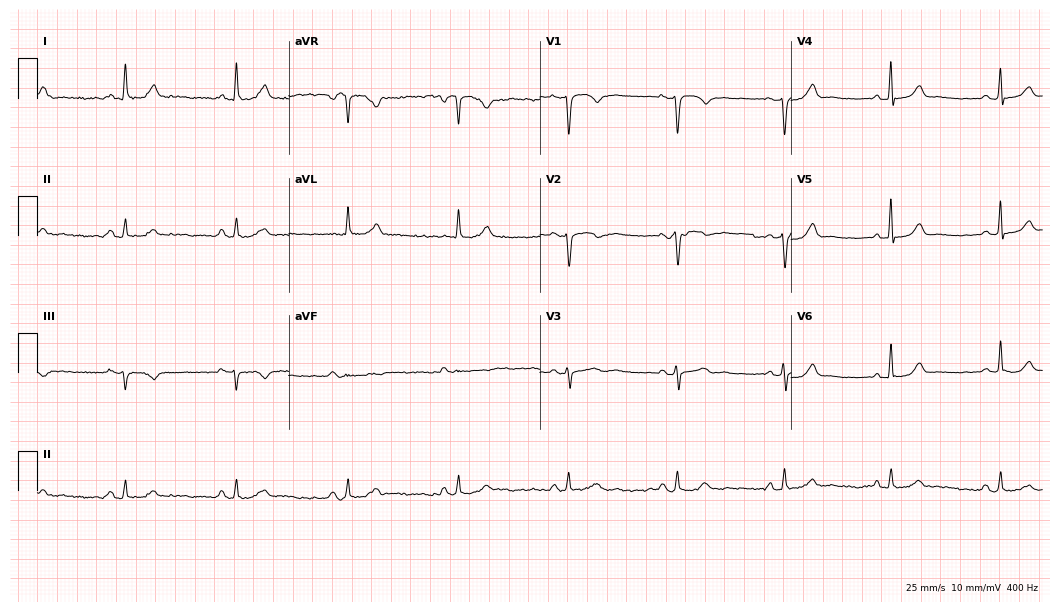
ECG — a 61-year-old female patient. Labelled as a normal ECG.